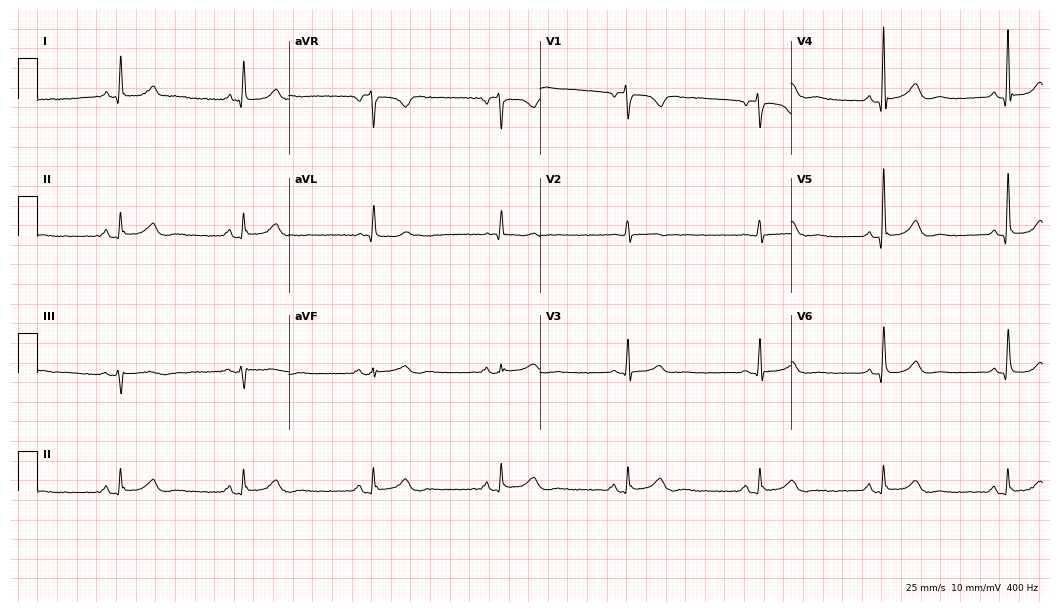
Standard 12-lead ECG recorded from a woman, 70 years old. The tracing shows sinus bradycardia (a sinus rate of 50 beats per minute or less).